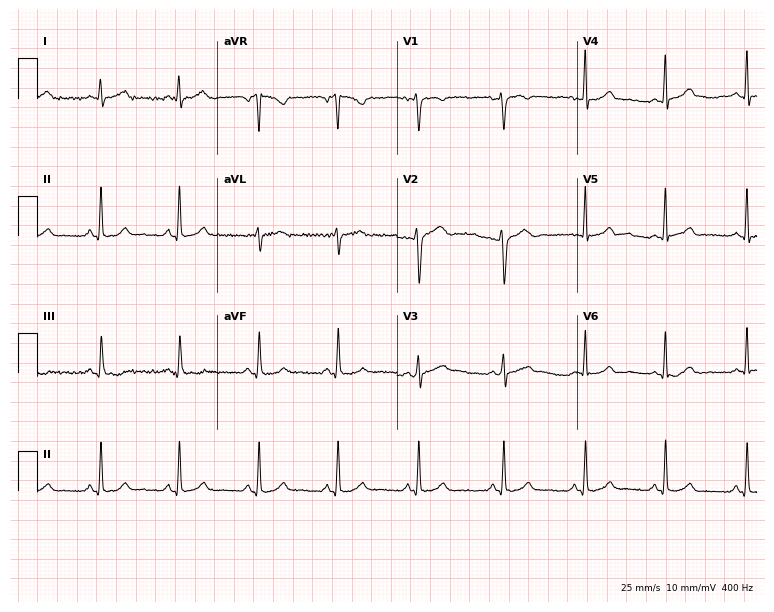
ECG — a female patient, 35 years old. Labelled as a normal ECG.